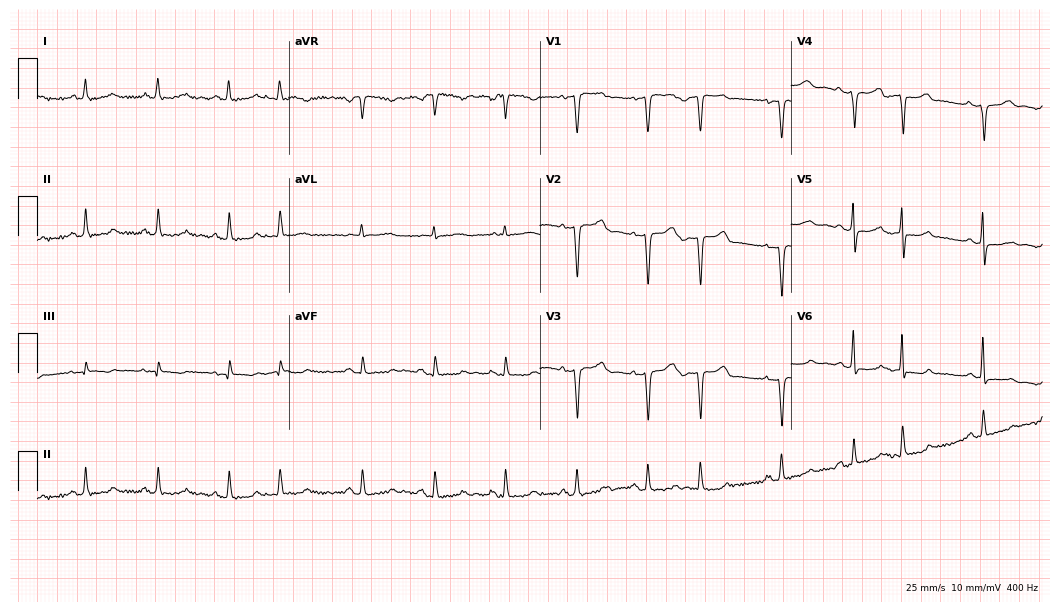
Electrocardiogram, a female, 71 years old. Of the six screened findings (first-degree AV block, right bundle branch block, left bundle branch block, sinus bradycardia, atrial fibrillation, sinus tachycardia), none is recorded.